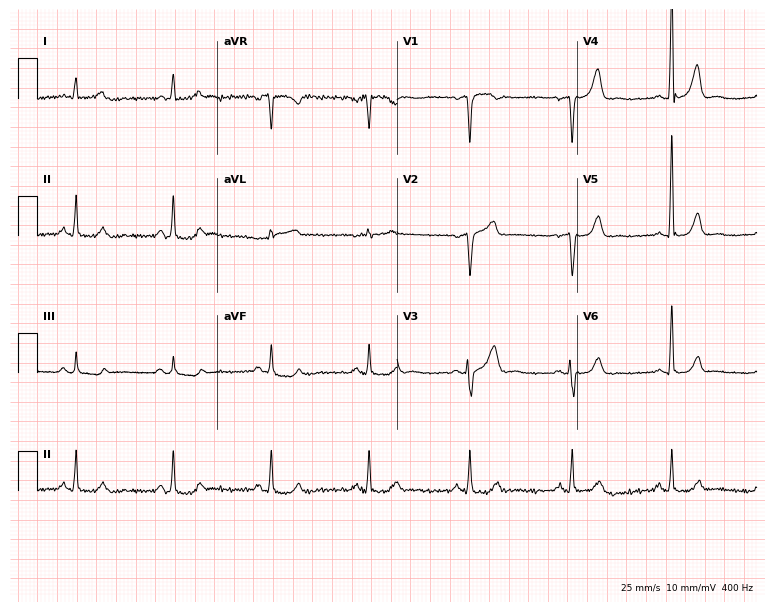
Electrocardiogram (7.3-second recording at 400 Hz), a female, 62 years old. Of the six screened findings (first-degree AV block, right bundle branch block, left bundle branch block, sinus bradycardia, atrial fibrillation, sinus tachycardia), none is recorded. Other findings, if any, are not listed.